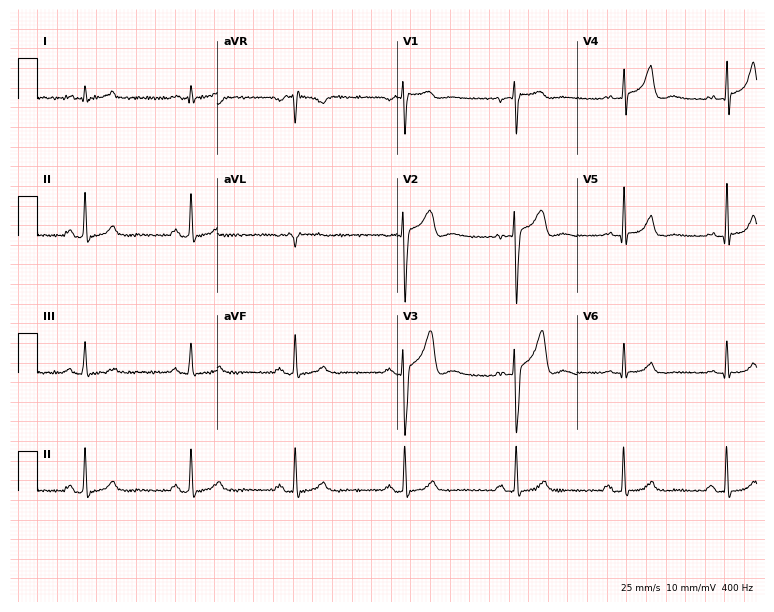
Resting 12-lead electrocardiogram. Patient: a 58-year-old male. None of these six findings is recorded: first-degree AV block, right bundle branch block, left bundle branch block, sinus bradycardia, atrial fibrillation, sinus tachycardia.